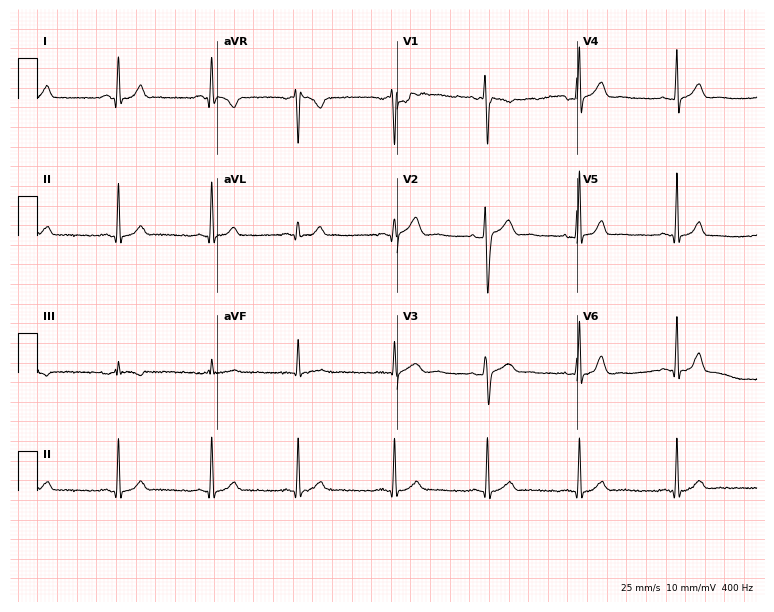
Electrocardiogram, a 37-year-old female. Overall reading on record: normal ECG.